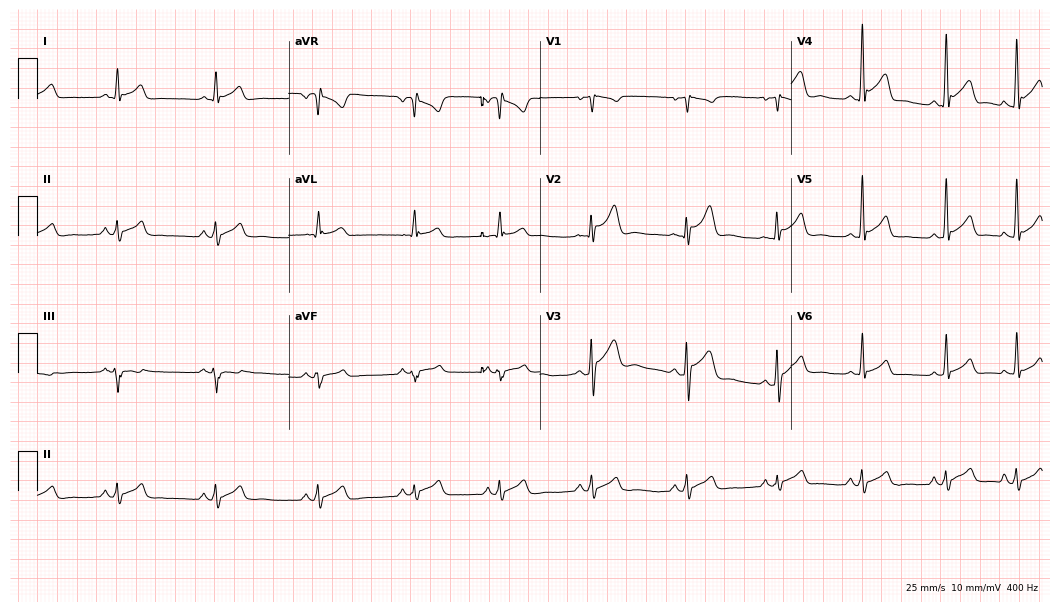
12-lead ECG from a man, 18 years old. Labelled as a normal ECG.